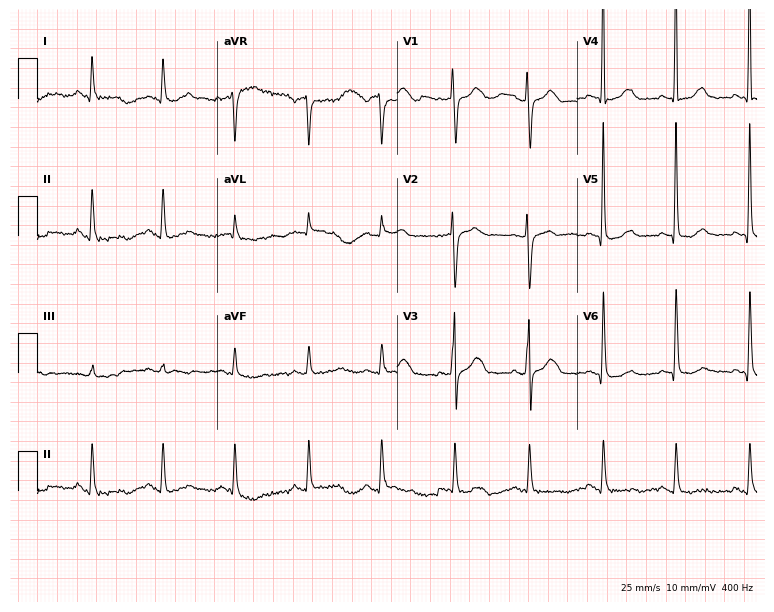
Electrocardiogram (7.3-second recording at 400 Hz), a 68-year-old female. Of the six screened findings (first-degree AV block, right bundle branch block, left bundle branch block, sinus bradycardia, atrial fibrillation, sinus tachycardia), none is recorded.